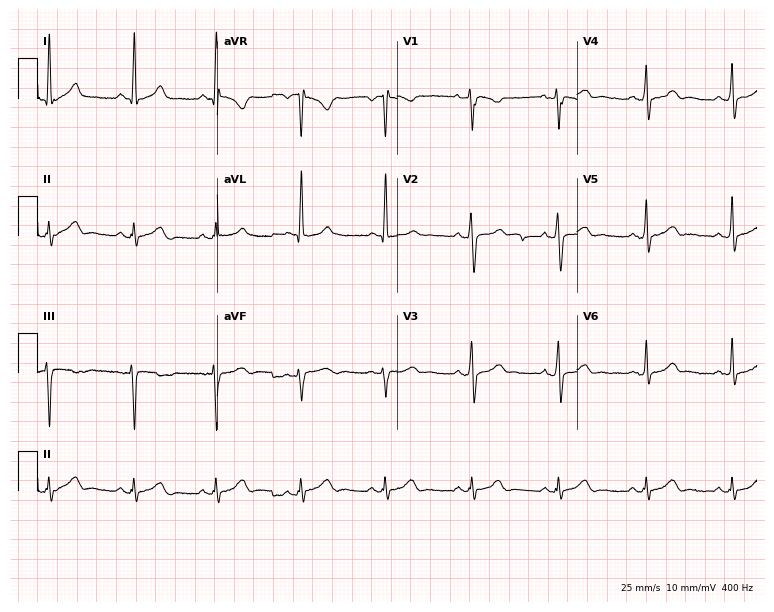
Resting 12-lead electrocardiogram. Patient: a 42-year-old male. Read as a normal ECG.